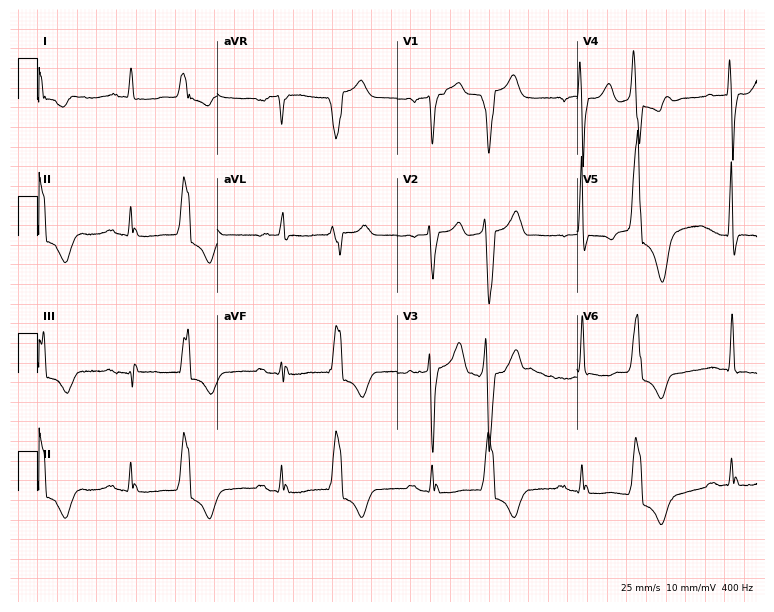
Standard 12-lead ECG recorded from an 82-year-old man. None of these six findings is recorded: first-degree AV block, right bundle branch block, left bundle branch block, sinus bradycardia, atrial fibrillation, sinus tachycardia.